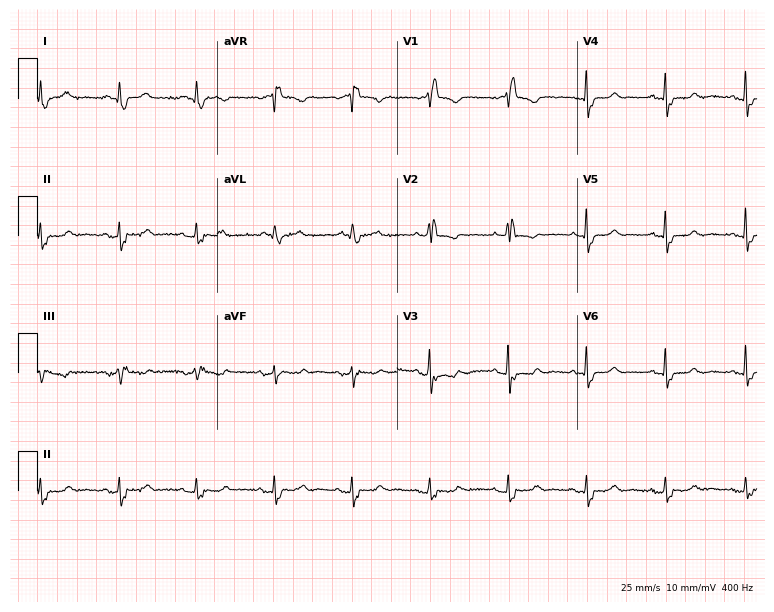
Resting 12-lead electrocardiogram. Patient: a female, 80 years old. The tracing shows right bundle branch block (RBBB).